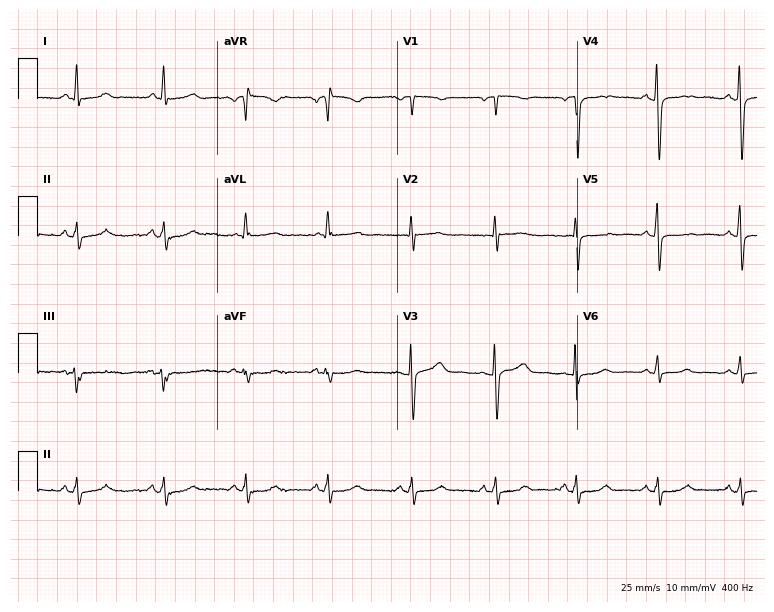
Standard 12-lead ECG recorded from a woman, 63 years old. None of these six findings is recorded: first-degree AV block, right bundle branch block, left bundle branch block, sinus bradycardia, atrial fibrillation, sinus tachycardia.